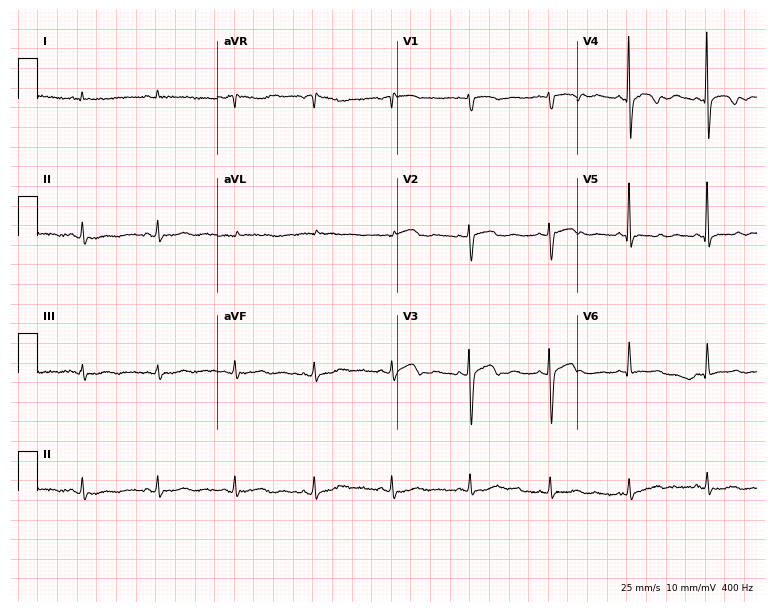
Standard 12-lead ECG recorded from a female, 56 years old (7.3-second recording at 400 Hz). None of these six findings is recorded: first-degree AV block, right bundle branch block, left bundle branch block, sinus bradycardia, atrial fibrillation, sinus tachycardia.